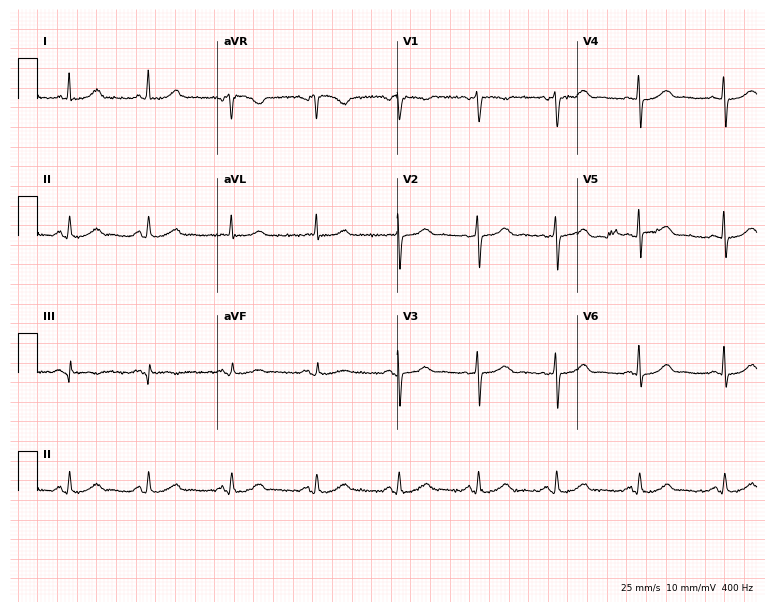
12-lead ECG from a woman, 62 years old (7.3-second recording at 400 Hz). Recorded interpretation: within normal limits.